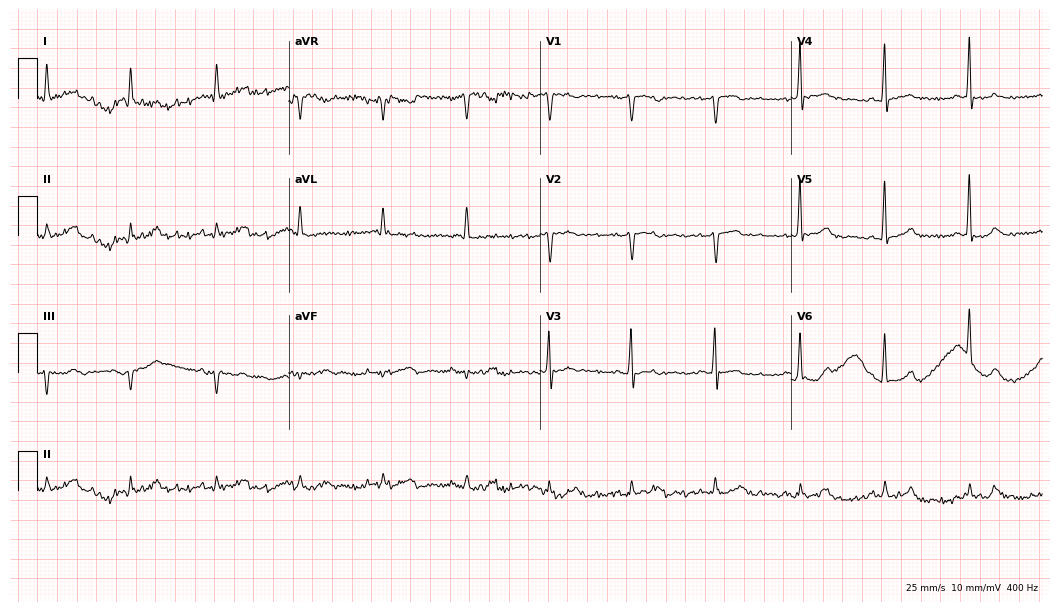
ECG (10.2-second recording at 400 Hz) — an 80-year-old man. Labelled as a normal ECG.